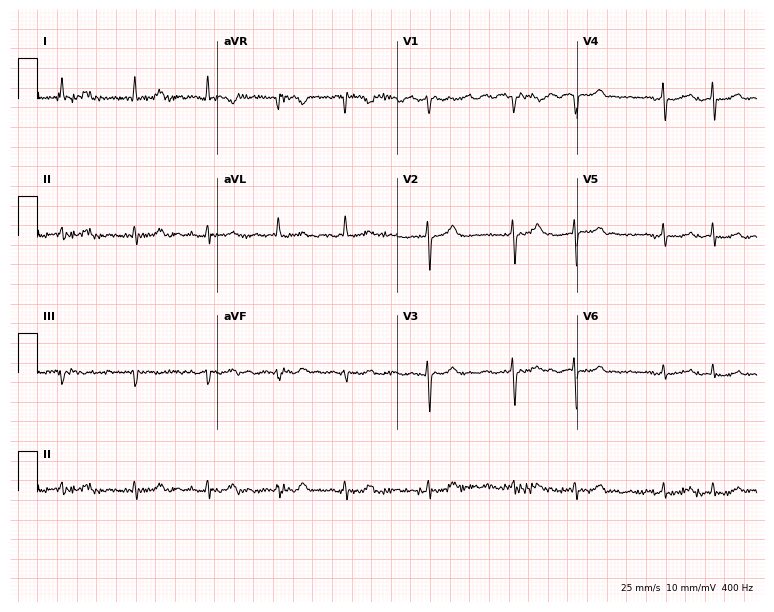
Standard 12-lead ECG recorded from a 78-year-old female (7.3-second recording at 400 Hz). None of these six findings is recorded: first-degree AV block, right bundle branch block, left bundle branch block, sinus bradycardia, atrial fibrillation, sinus tachycardia. Other findings, if any, are not listed.